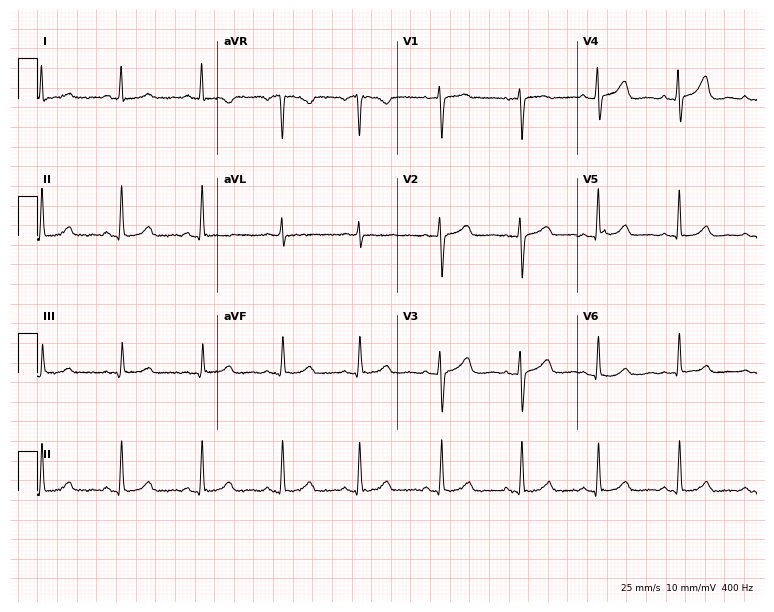
12-lead ECG from a female, 38 years old. No first-degree AV block, right bundle branch block, left bundle branch block, sinus bradycardia, atrial fibrillation or sinus tachycardia recorded for this tracing.